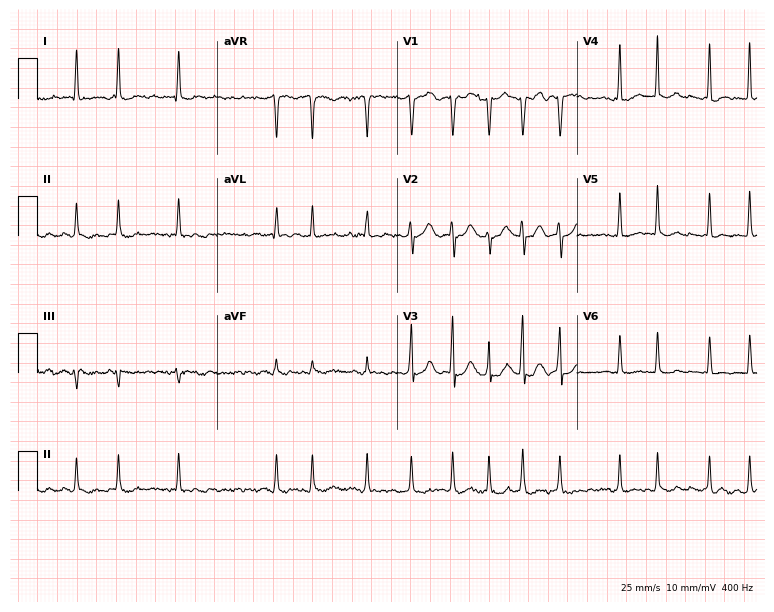
Electrocardiogram, a female patient, 80 years old. Of the six screened findings (first-degree AV block, right bundle branch block, left bundle branch block, sinus bradycardia, atrial fibrillation, sinus tachycardia), none is recorded. Only these six findings were labelled.